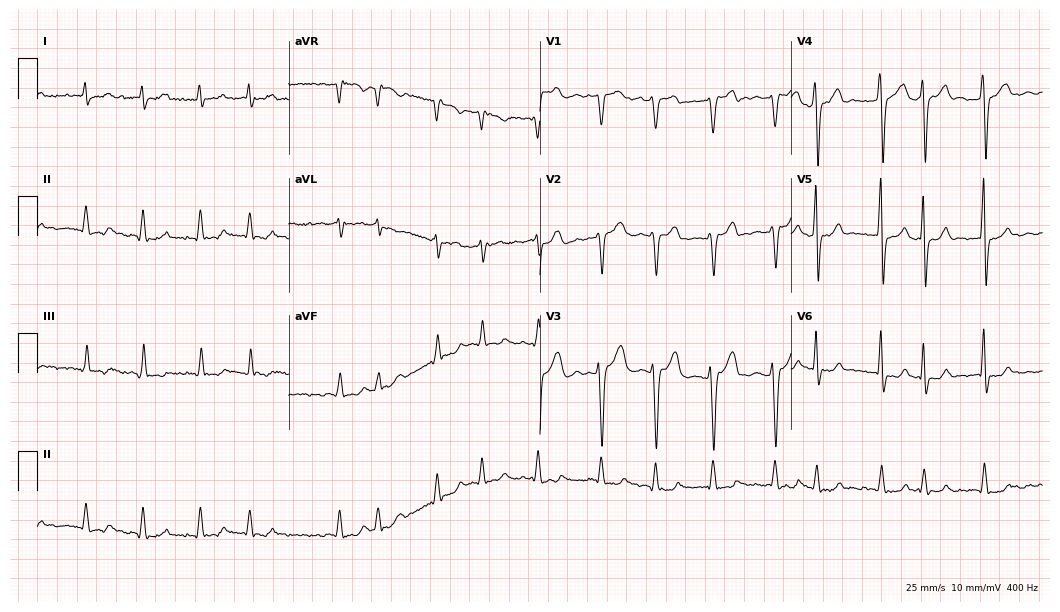
Electrocardiogram (10.2-second recording at 400 Hz), a male, 66 years old. Interpretation includes atrial fibrillation.